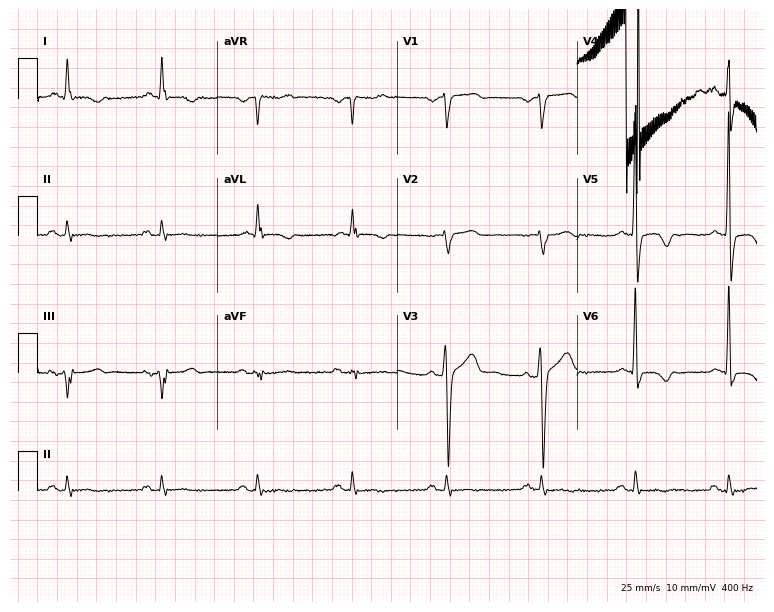
Electrocardiogram, a 68-year-old male. Of the six screened findings (first-degree AV block, right bundle branch block (RBBB), left bundle branch block (LBBB), sinus bradycardia, atrial fibrillation (AF), sinus tachycardia), none is recorded.